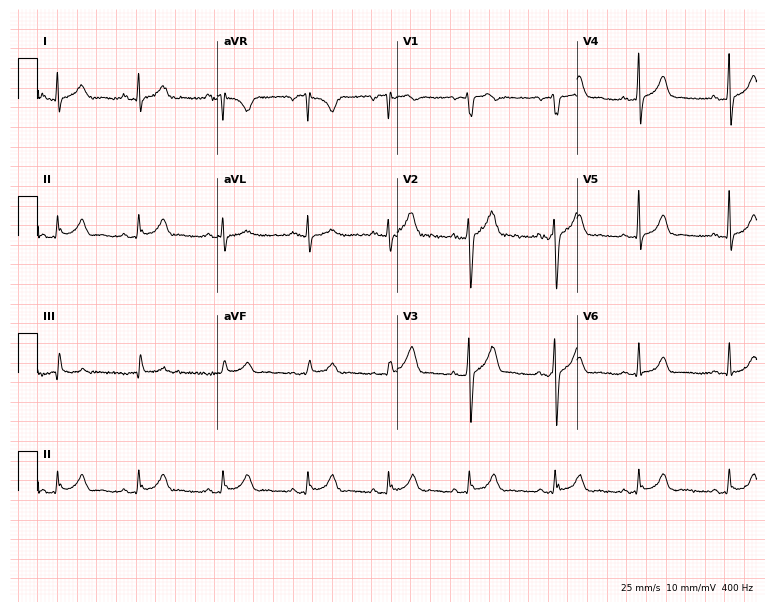
Electrocardiogram, a 37-year-old male. Overall reading on record: normal ECG.